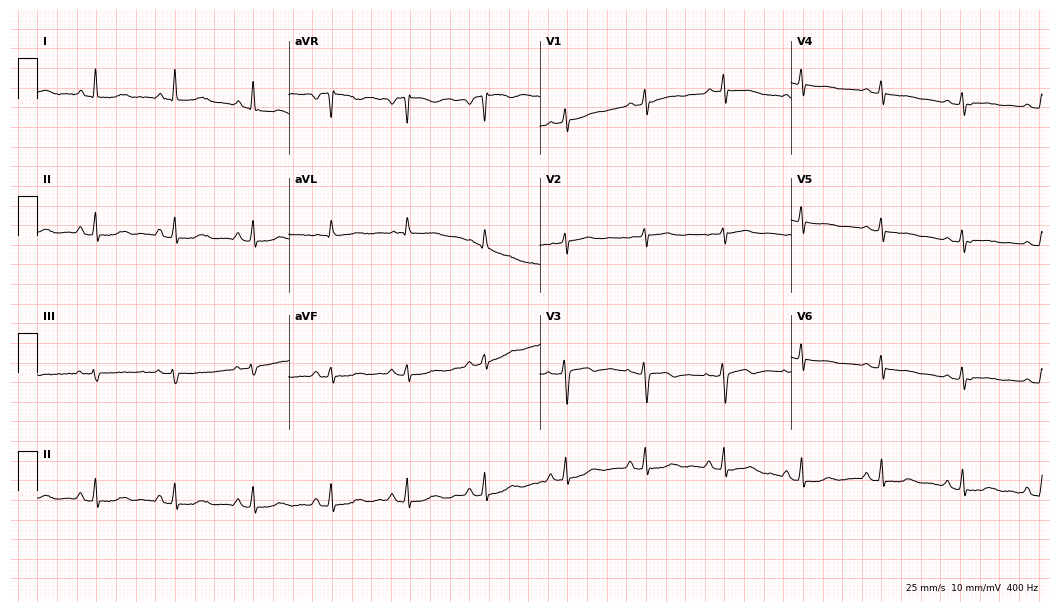
Resting 12-lead electrocardiogram (10.2-second recording at 400 Hz). Patient: a 63-year-old female. None of these six findings is recorded: first-degree AV block, right bundle branch block, left bundle branch block, sinus bradycardia, atrial fibrillation, sinus tachycardia.